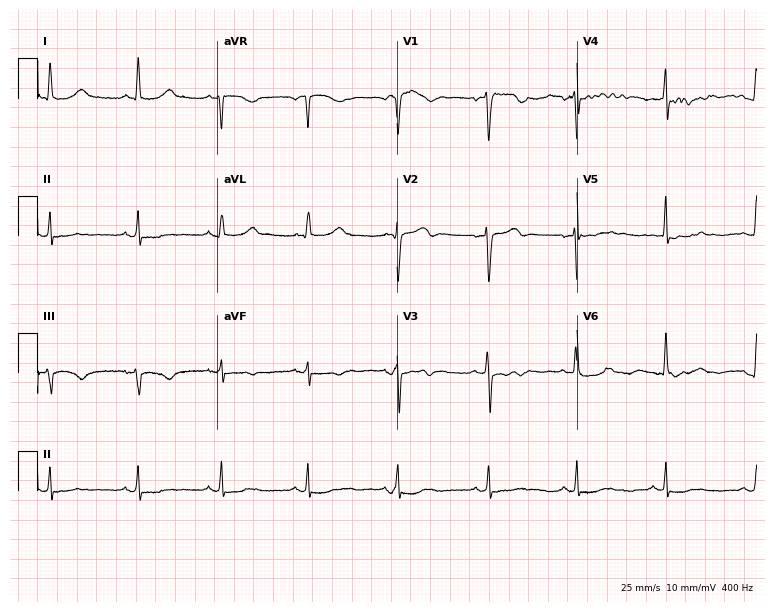
Resting 12-lead electrocardiogram (7.3-second recording at 400 Hz). Patient: a 49-year-old female. Read as a normal ECG.